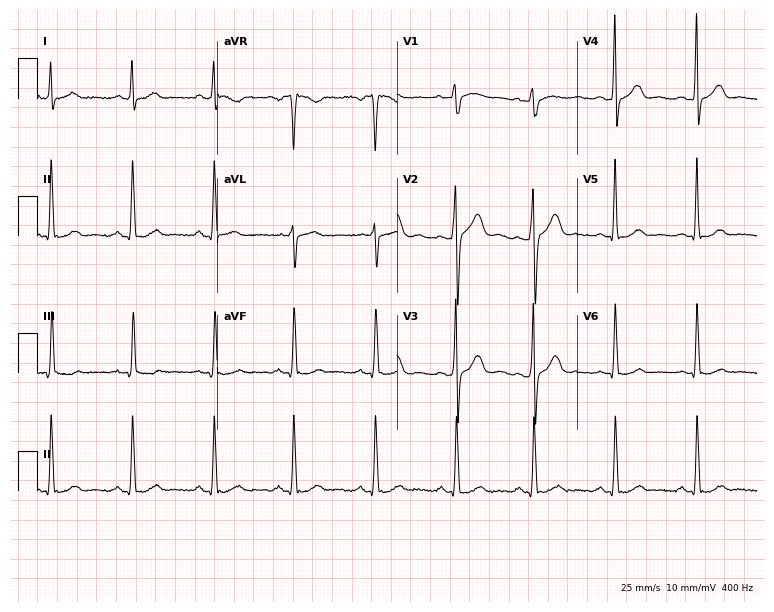
Standard 12-lead ECG recorded from a man, 43 years old. Read as a normal ECG.